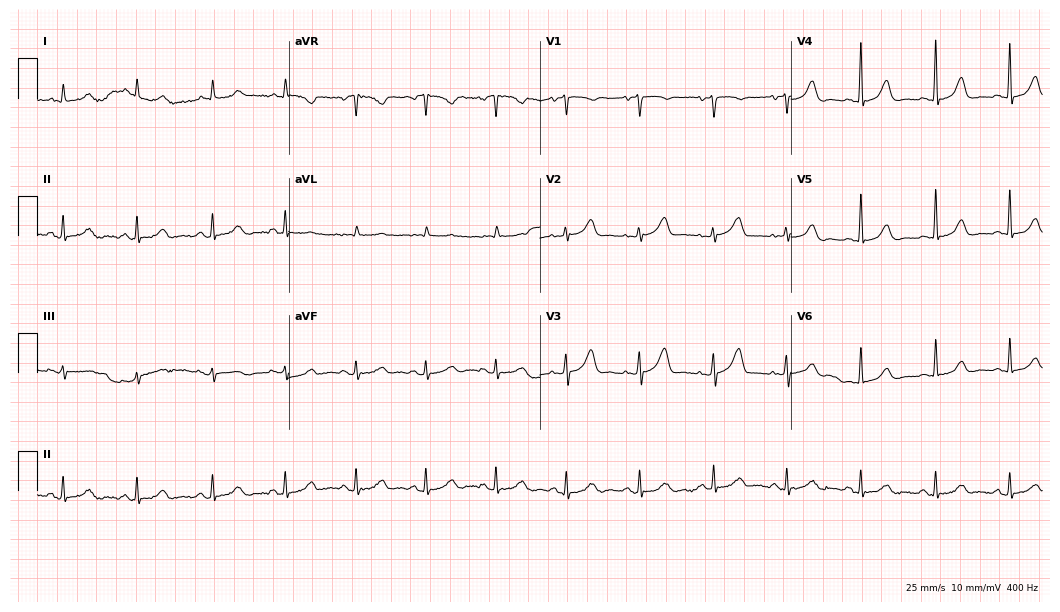
12-lead ECG (10.2-second recording at 400 Hz) from a 79-year-old woman. Labelled as a normal ECG.